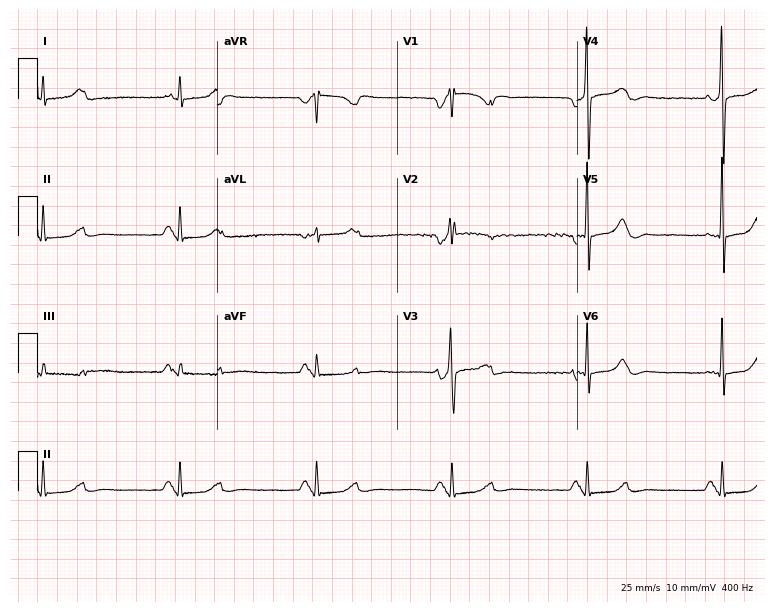
Resting 12-lead electrocardiogram. Patient: a man, 37 years old. The tracing shows right bundle branch block, sinus bradycardia (a sinus rate of 50 beats per minute or less).